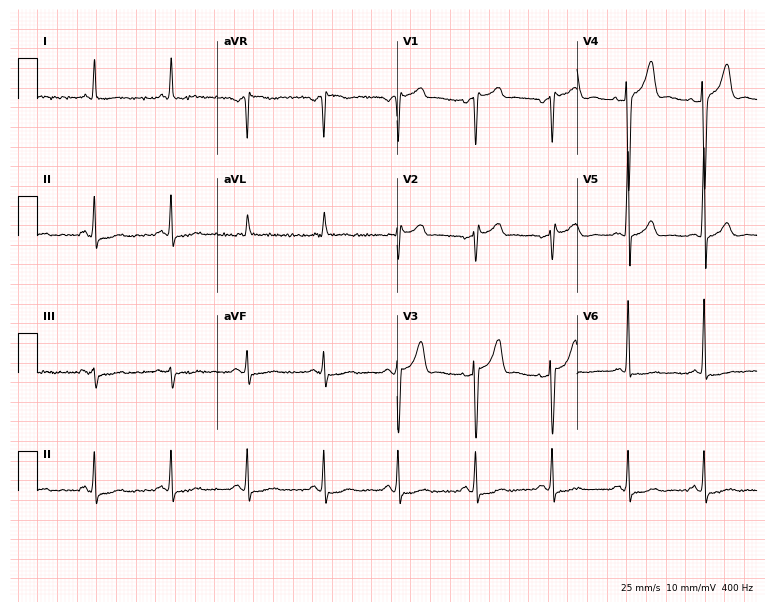
Electrocardiogram (7.3-second recording at 400 Hz), a 68-year-old male. Of the six screened findings (first-degree AV block, right bundle branch block (RBBB), left bundle branch block (LBBB), sinus bradycardia, atrial fibrillation (AF), sinus tachycardia), none is recorded. Only these six findings were labelled.